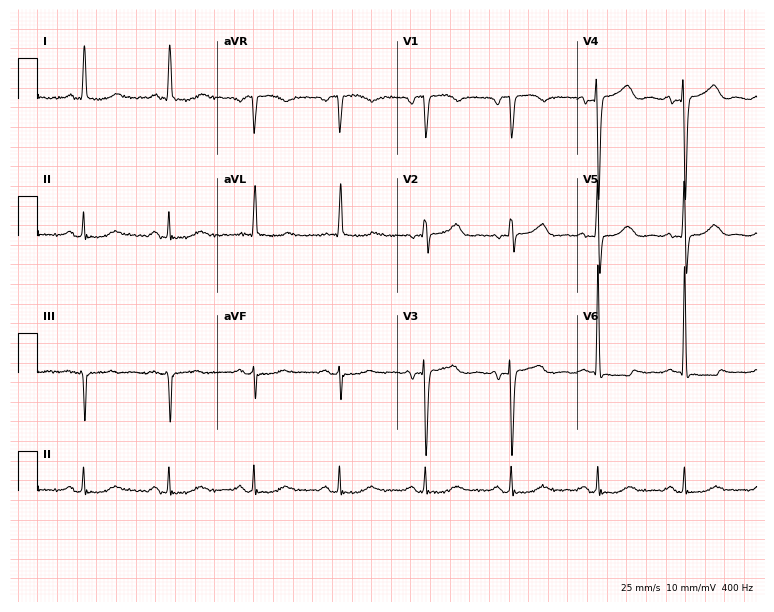
ECG — a male, 76 years old. Screened for six findings — first-degree AV block, right bundle branch block, left bundle branch block, sinus bradycardia, atrial fibrillation, sinus tachycardia — none is recorded. Findings outside these six are not listed.